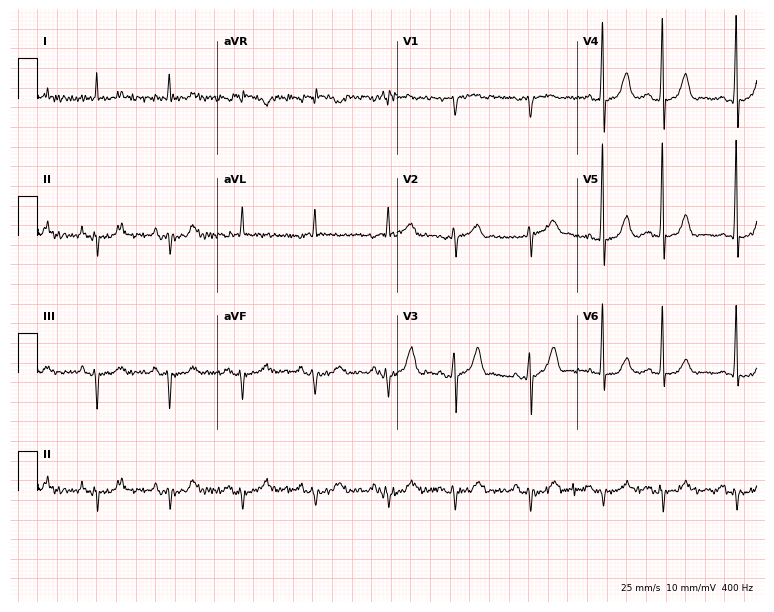
Electrocardiogram (7.3-second recording at 400 Hz), a 75-year-old male patient. Of the six screened findings (first-degree AV block, right bundle branch block (RBBB), left bundle branch block (LBBB), sinus bradycardia, atrial fibrillation (AF), sinus tachycardia), none is recorded. Findings outside these six are not listed.